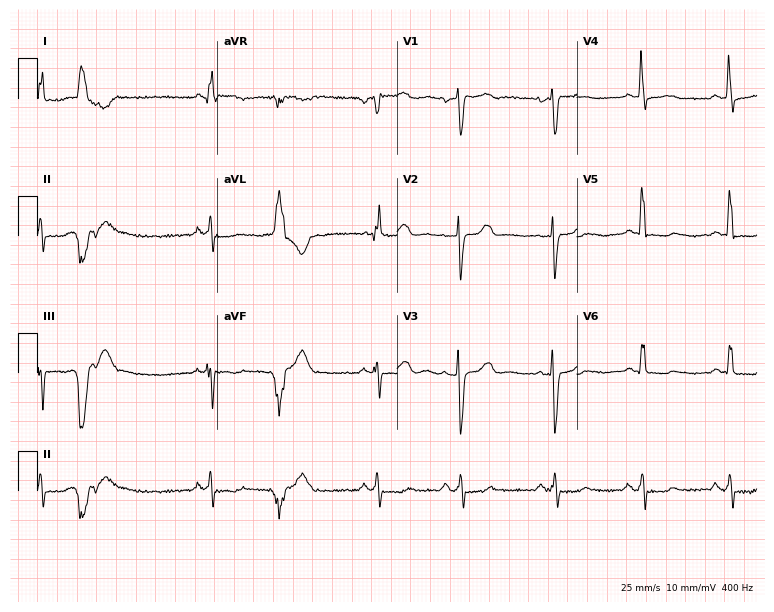
12-lead ECG from a 43-year-old female patient (7.3-second recording at 400 Hz). No first-degree AV block, right bundle branch block, left bundle branch block, sinus bradycardia, atrial fibrillation or sinus tachycardia recorded for this tracing. Only these six findings were labelled.